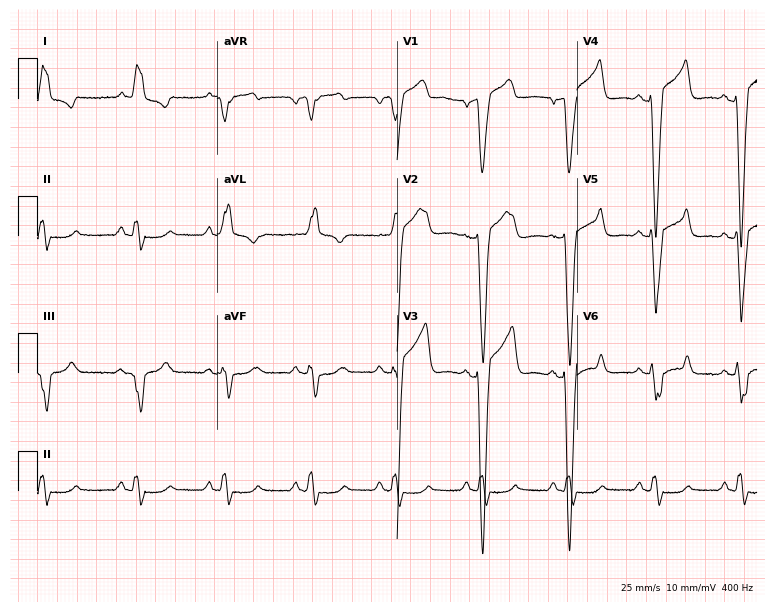
12-lead ECG from a 66-year-old man. Shows left bundle branch block.